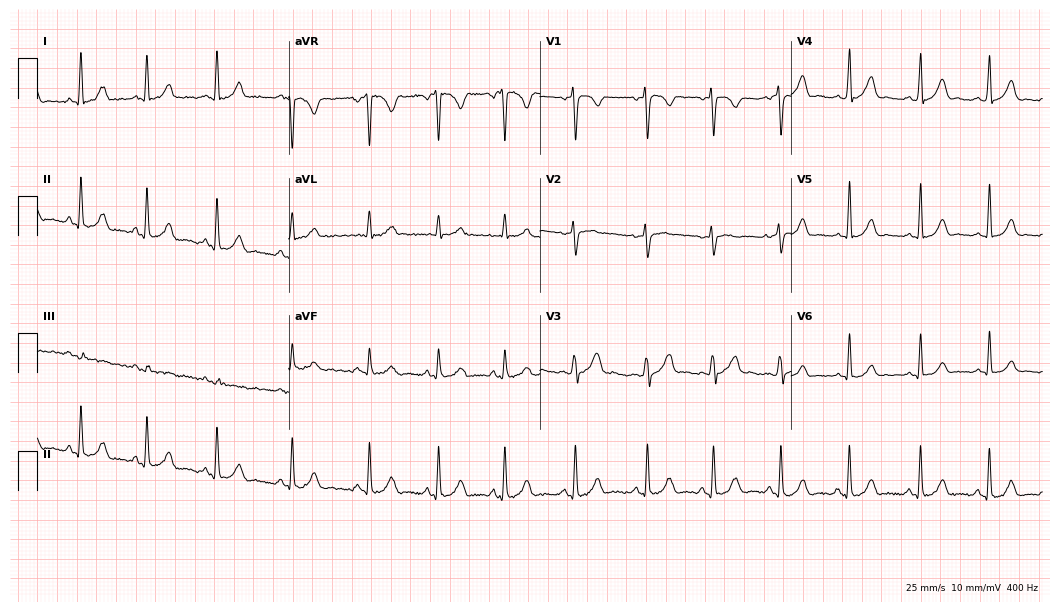
ECG (10.2-second recording at 400 Hz) — a female patient, 17 years old. Labelled as a normal ECG.